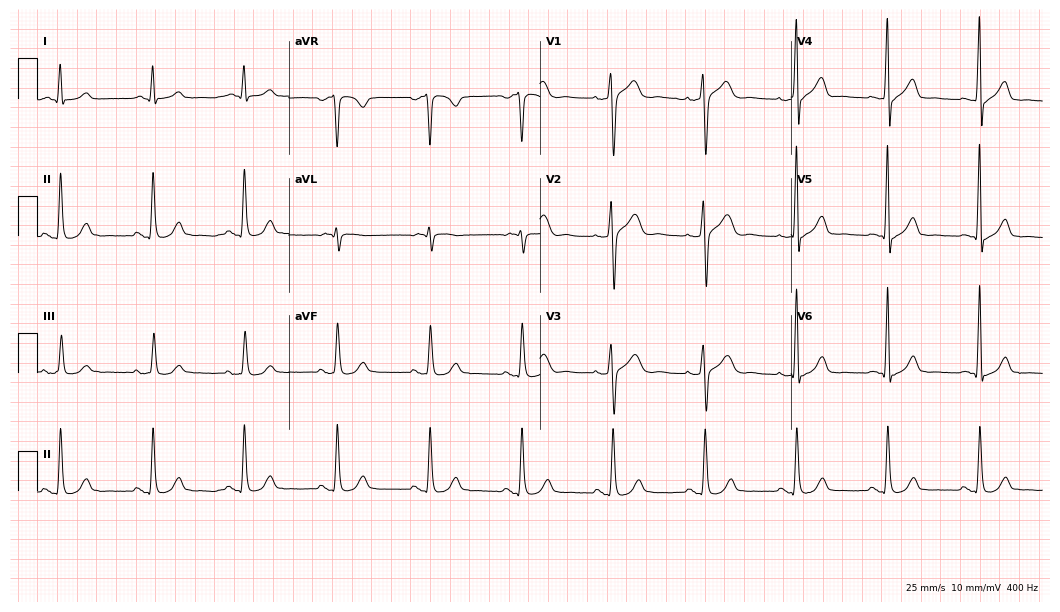
12-lead ECG (10.2-second recording at 400 Hz) from a male, 62 years old. Screened for six findings — first-degree AV block, right bundle branch block, left bundle branch block, sinus bradycardia, atrial fibrillation, sinus tachycardia — none is recorded.